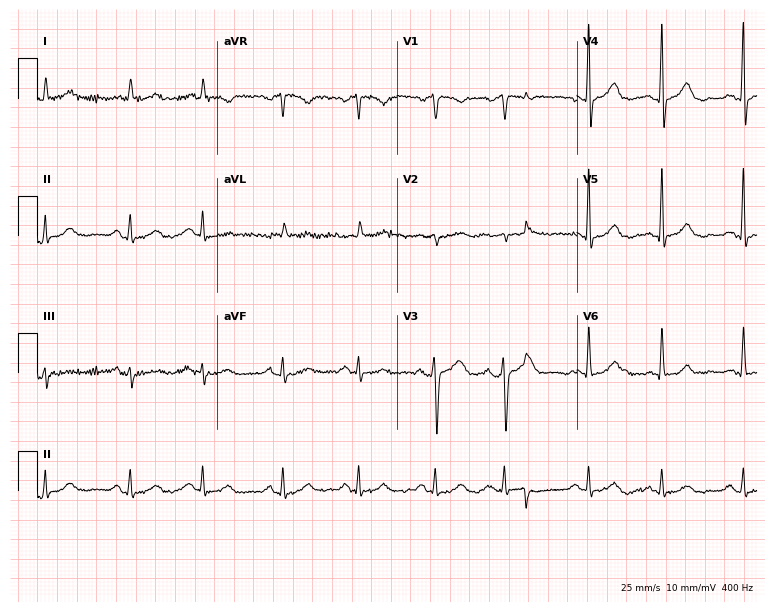
12-lead ECG from a man, 69 years old. Screened for six findings — first-degree AV block, right bundle branch block, left bundle branch block, sinus bradycardia, atrial fibrillation, sinus tachycardia — none is recorded. Other findings, if any, are not listed.